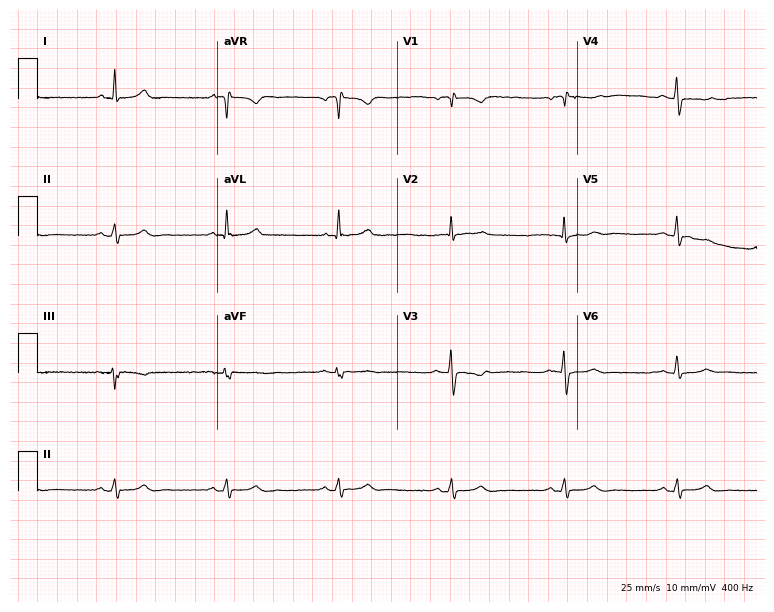
Resting 12-lead electrocardiogram (7.3-second recording at 400 Hz). Patient: a woman, 61 years old. None of these six findings is recorded: first-degree AV block, right bundle branch block, left bundle branch block, sinus bradycardia, atrial fibrillation, sinus tachycardia.